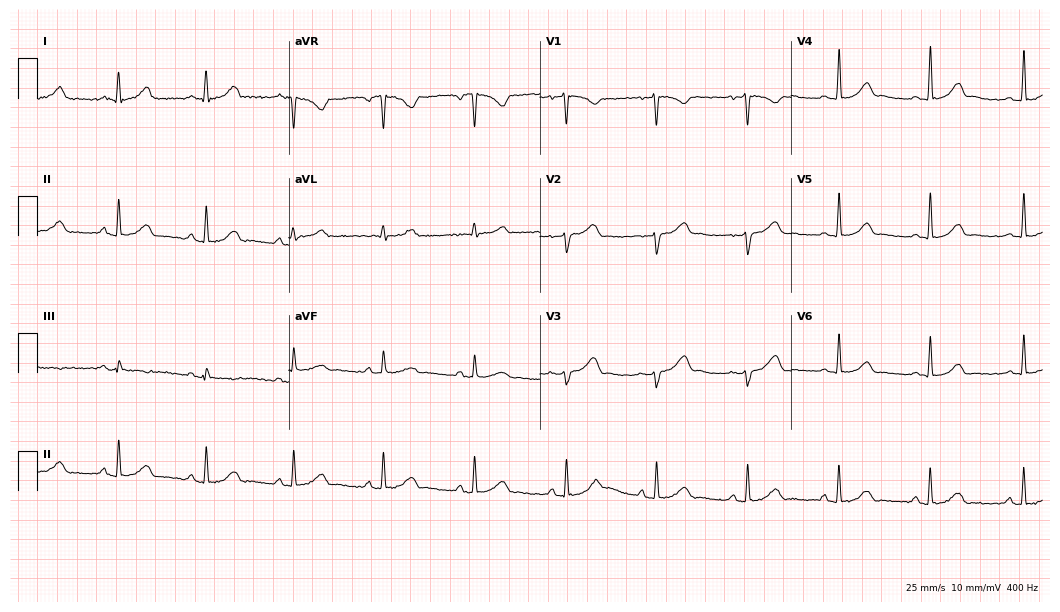
Standard 12-lead ECG recorded from a female patient, 32 years old. Read as a normal ECG.